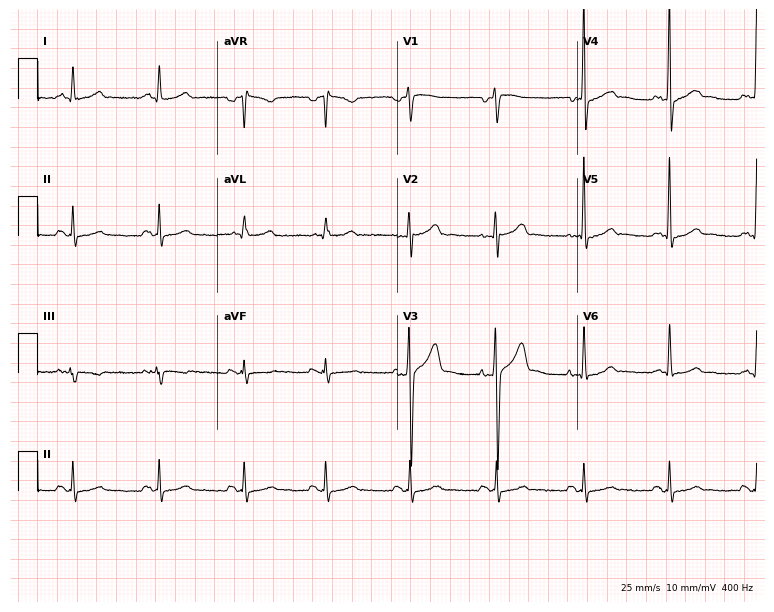
ECG — a 38-year-old male. Screened for six findings — first-degree AV block, right bundle branch block, left bundle branch block, sinus bradycardia, atrial fibrillation, sinus tachycardia — none is recorded.